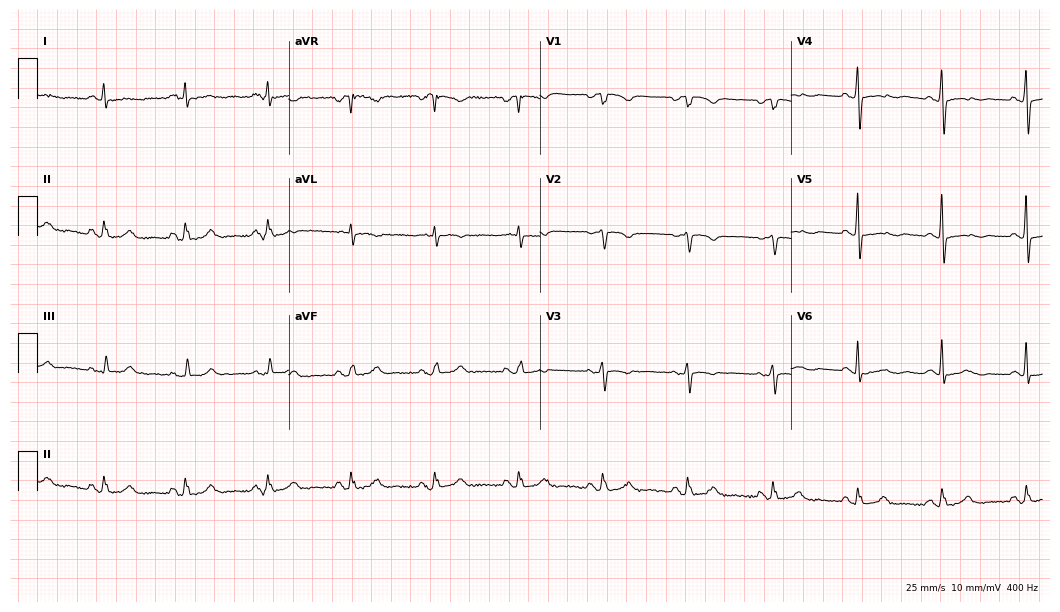
Standard 12-lead ECG recorded from a 79-year-old female patient. None of these six findings is recorded: first-degree AV block, right bundle branch block, left bundle branch block, sinus bradycardia, atrial fibrillation, sinus tachycardia. Only these six findings were labelled.